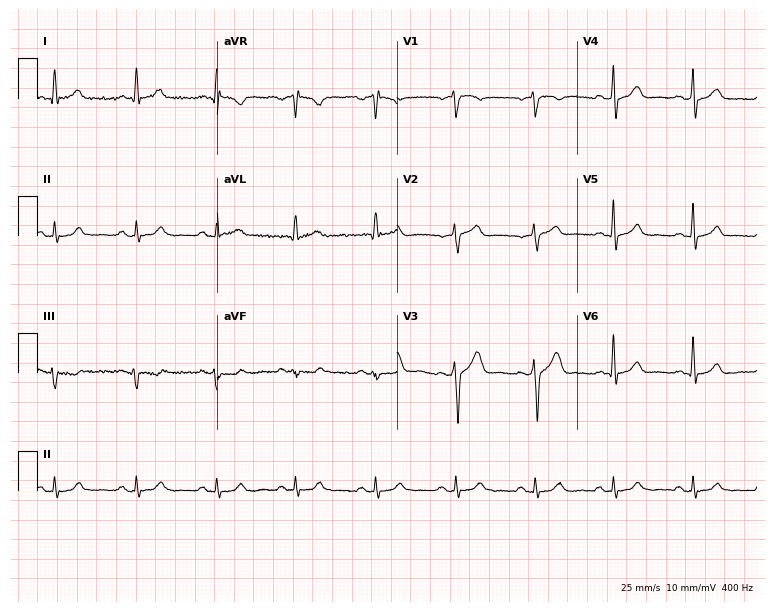
12-lead ECG (7.3-second recording at 400 Hz) from a 48-year-old male patient. Labelled as a normal ECG.